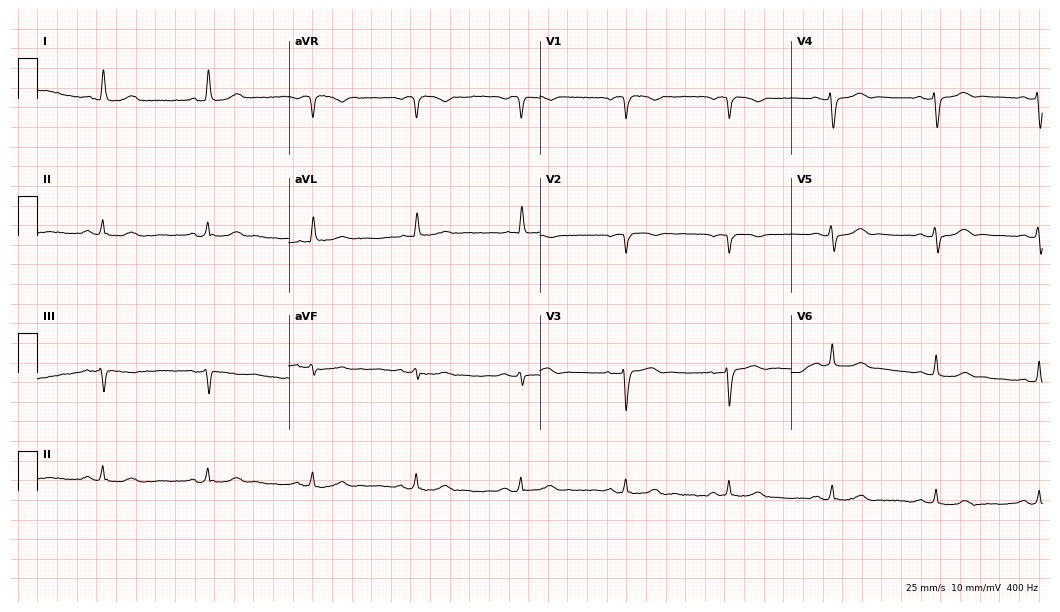
Electrocardiogram, a 64-year-old female. Overall reading on record: normal ECG.